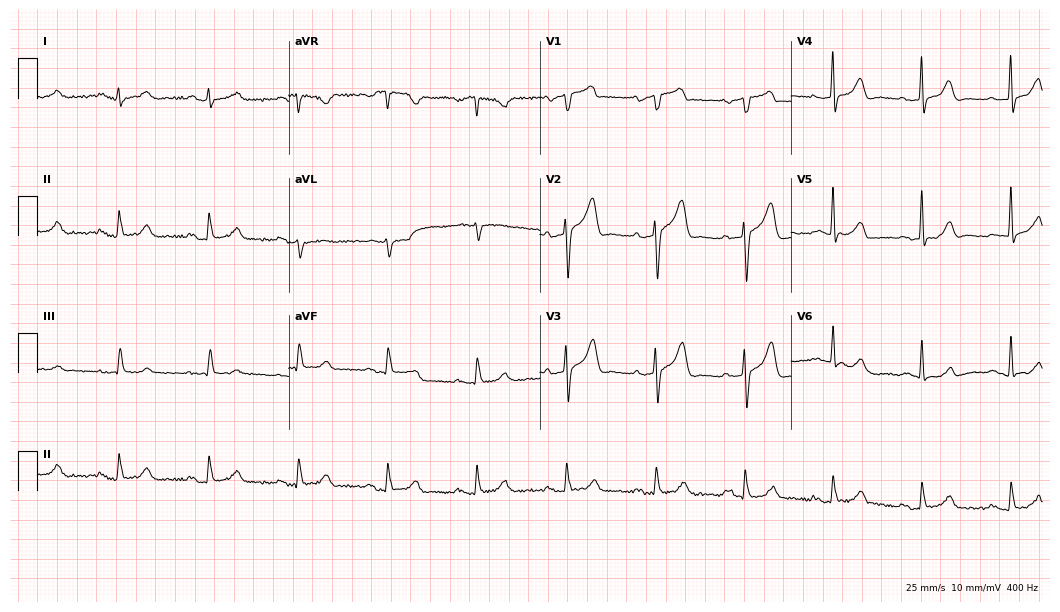
Resting 12-lead electrocardiogram. Patient: a 74-year-old male. Read as a normal ECG.